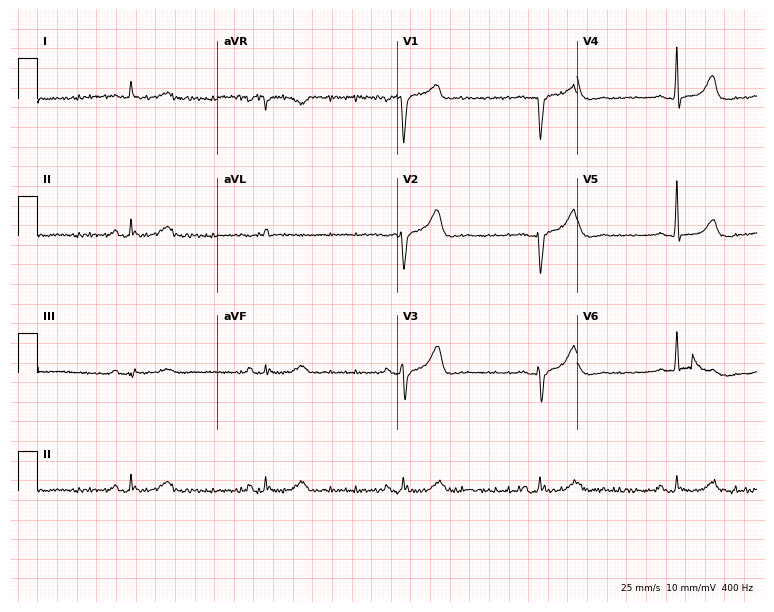
Standard 12-lead ECG recorded from a man, 75 years old (7.3-second recording at 400 Hz). The tracing shows sinus bradycardia (a sinus rate of 50 beats per minute or less).